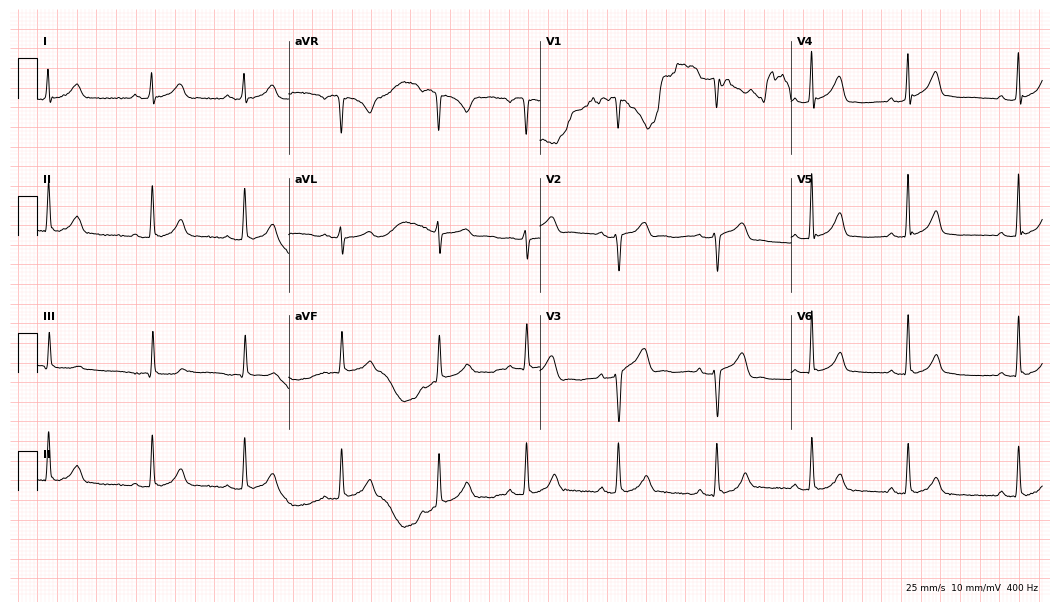
12-lead ECG (10.2-second recording at 400 Hz) from a male patient, 34 years old. Screened for six findings — first-degree AV block, right bundle branch block (RBBB), left bundle branch block (LBBB), sinus bradycardia, atrial fibrillation (AF), sinus tachycardia — none is recorded. Other findings, if any, are not listed.